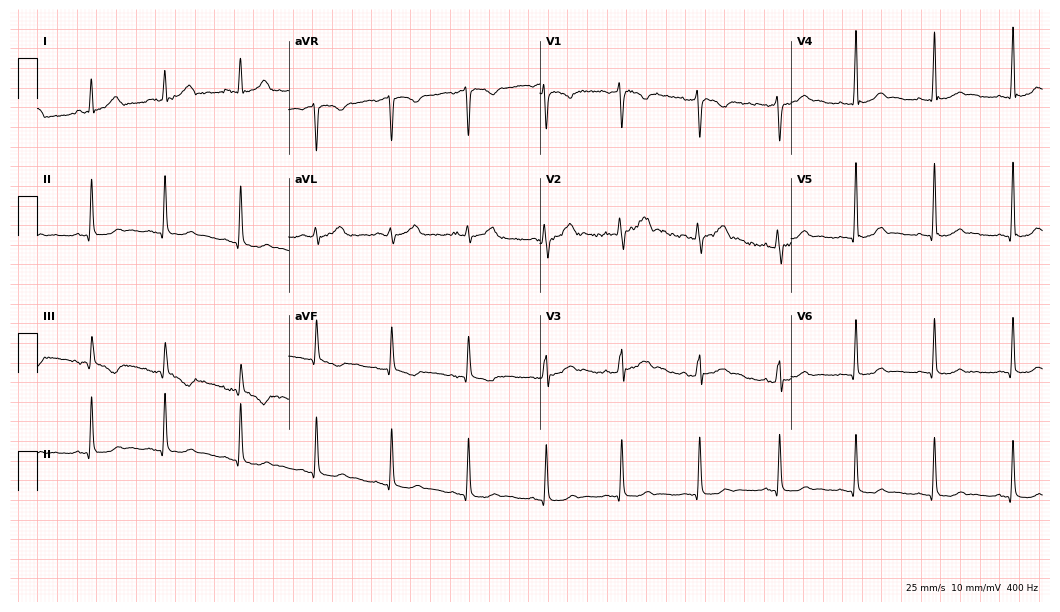
12-lead ECG from a 29-year-old male patient (10.2-second recording at 400 Hz). Recorded interpretation: within normal limits.